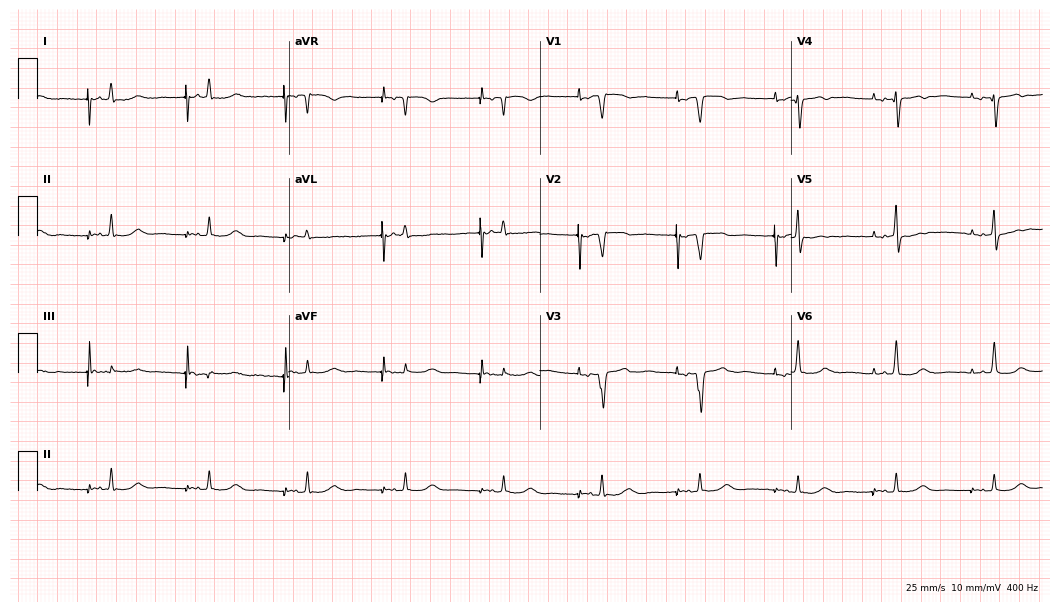
Electrocardiogram (10.2-second recording at 400 Hz), an 85-year-old male. Of the six screened findings (first-degree AV block, right bundle branch block, left bundle branch block, sinus bradycardia, atrial fibrillation, sinus tachycardia), none is recorded.